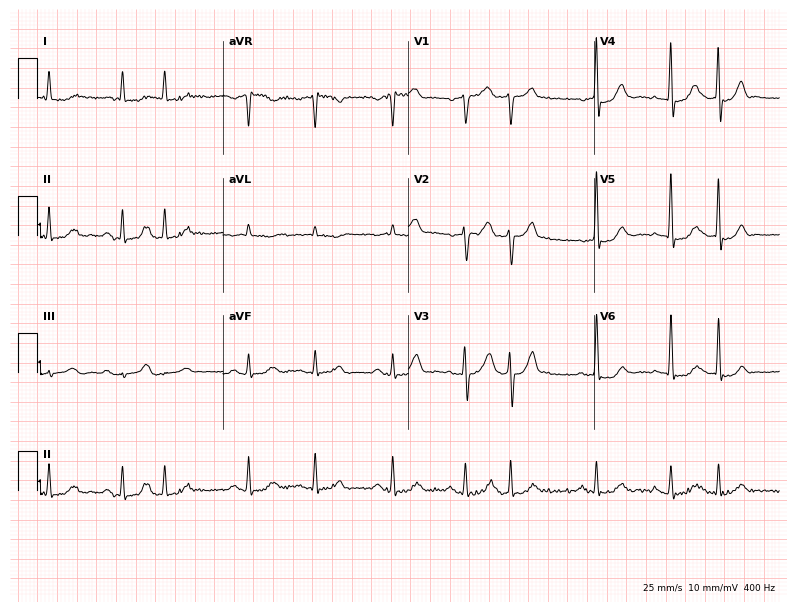
12-lead ECG from a male patient, 84 years old (7.6-second recording at 400 Hz). No first-degree AV block, right bundle branch block, left bundle branch block, sinus bradycardia, atrial fibrillation or sinus tachycardia recorded for this tracing. Only these six findings were labelled.